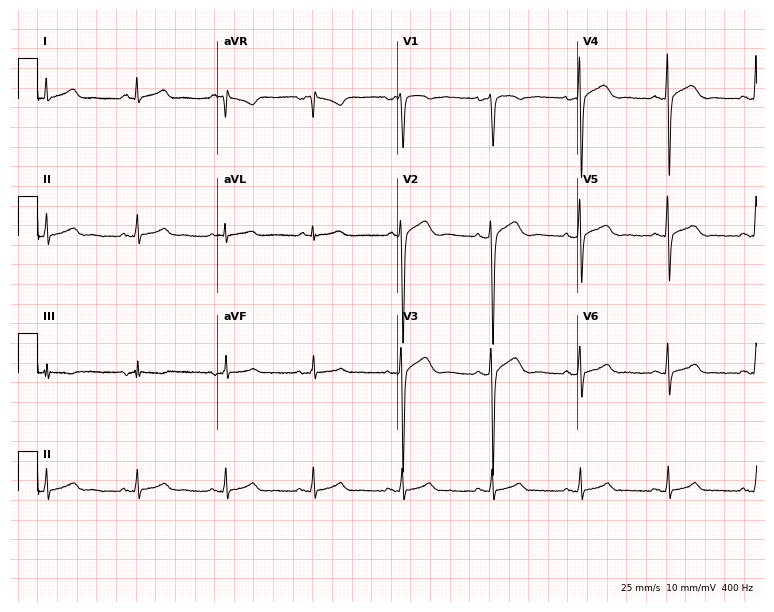
Standard 12-lead ECG recorded from a 52-year-old male. Read as a normal ECG.